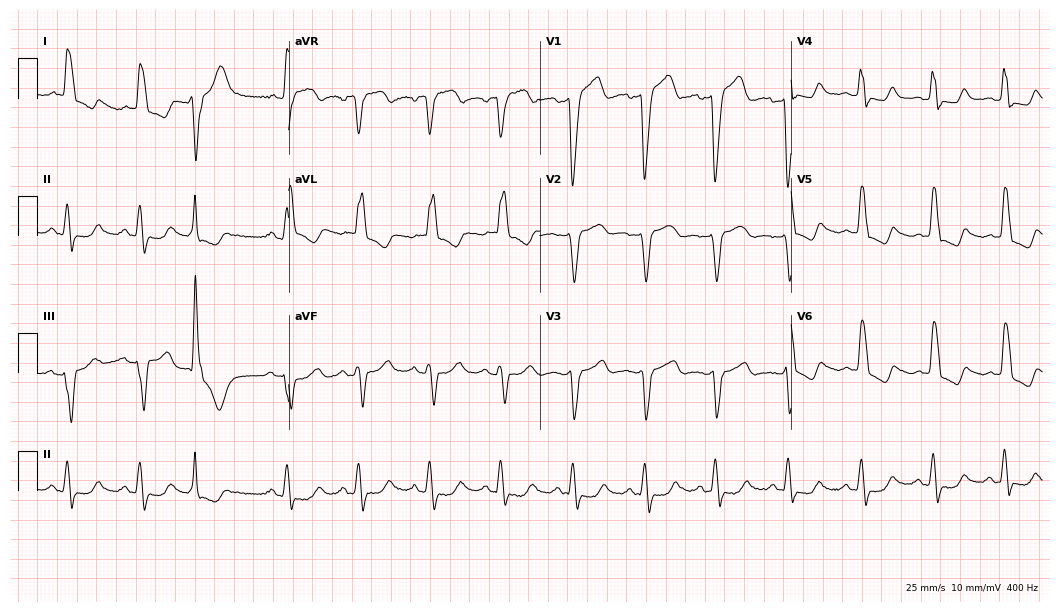
ECG (10.2-second recording at 400 Hz) — a female, 81 years old. Findings include left bundle branch block.